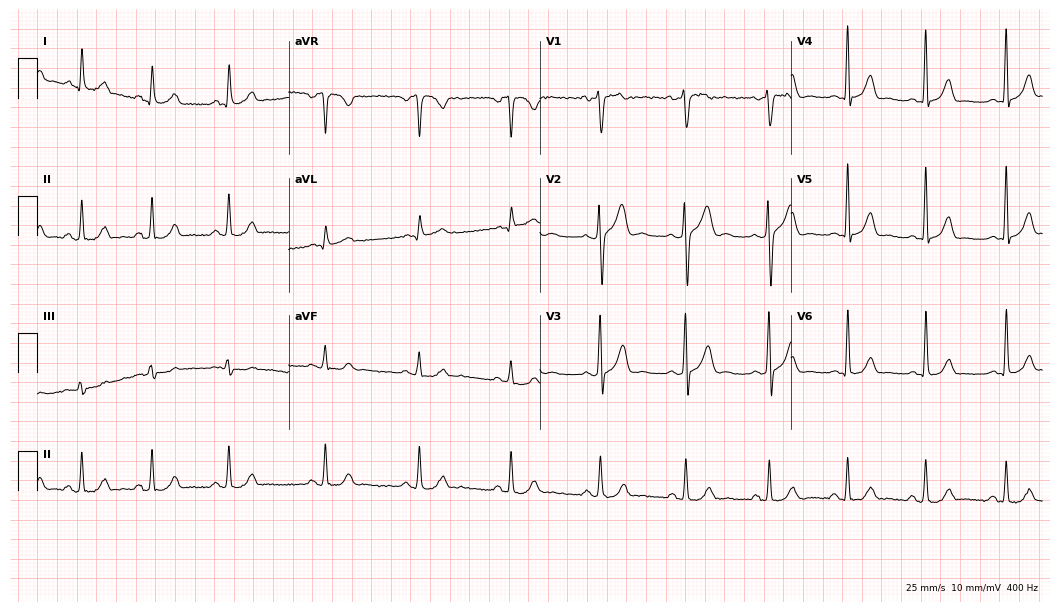
Standard 12-lead ECG recorded from a 40-year-old male. Read as a normal ECG.